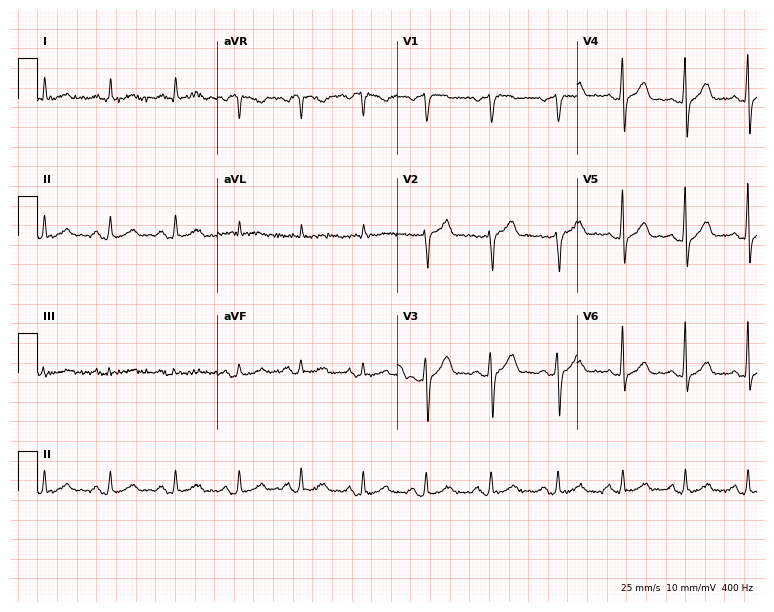
12-lead ECG (7.3-second recording at 400 Hz) from a man, 67 years old. Labelled as a normal ECG.